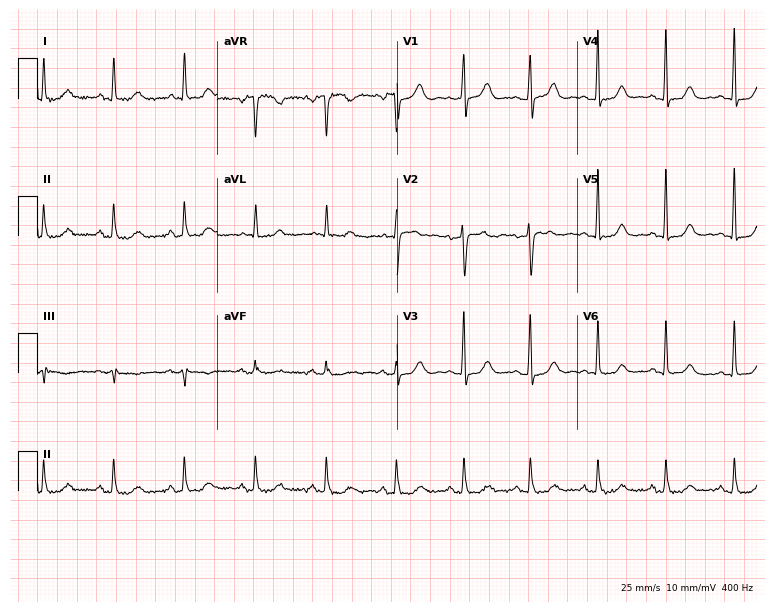
12-lead ECG from a woman, 68 years old. Screened for six findings — first-degree AV block, right bundle branch block, left bundle branch block, sinus bradycardia, atrial fibrillation, sinus tachycardia — none is recorded. Only these six findings were labelled.